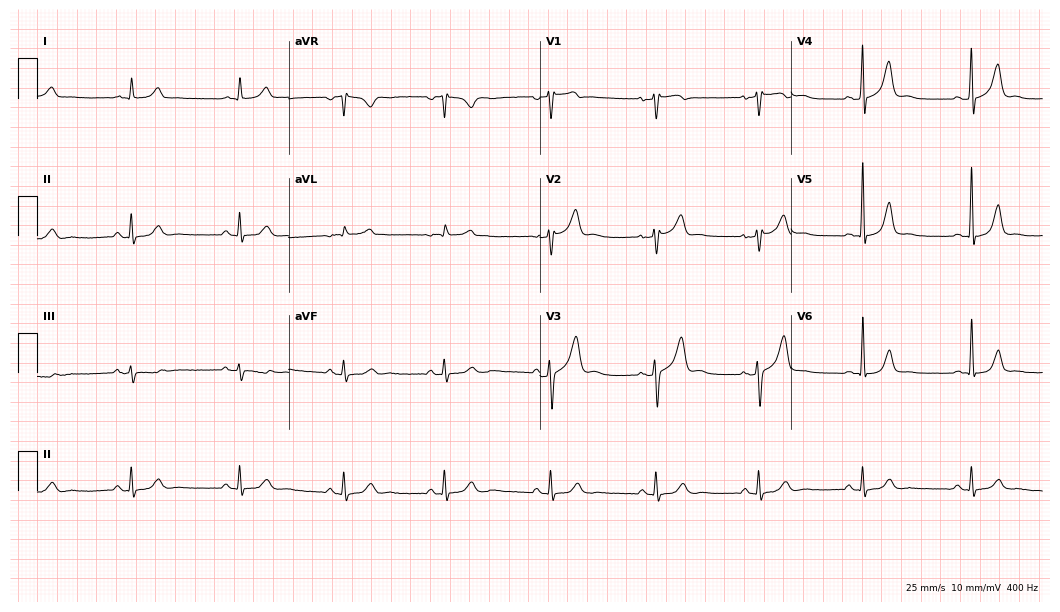
ECG — a 64-year-old man. Screened for six findings — first-degree AV block, right bundle branch block (RBBB), left bundle branch block (LBBB), sinus bradycardia, atrial fibrillation (AF), sinus tachycardia — none is recorded.